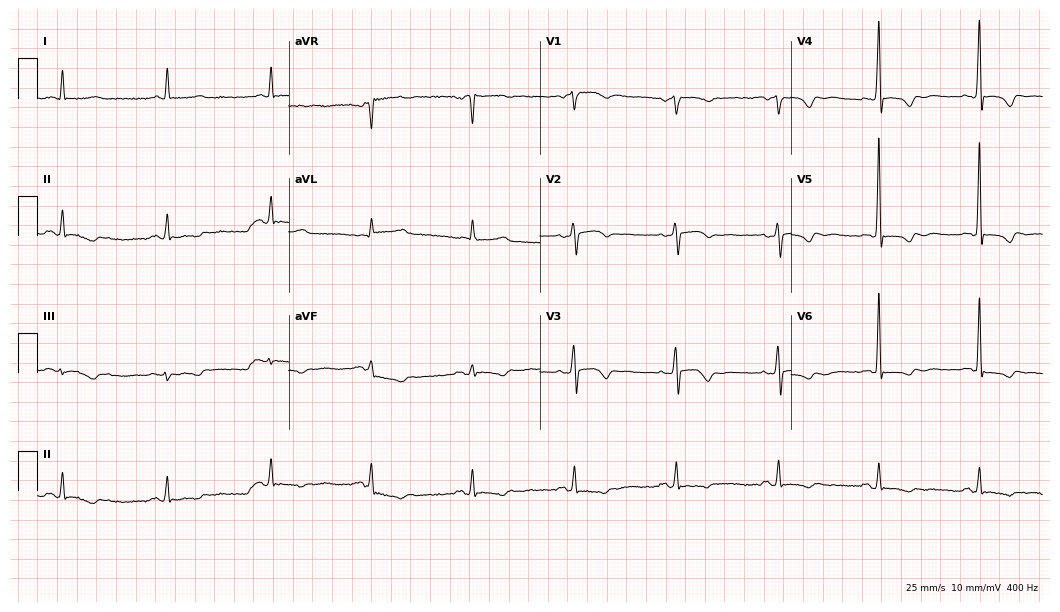
Electrocardiogram (10.2-second recording at 400 Hz), a 67-year-old woman. Of the six screened findings (first-degree AV block, right bundle branch block, left bundle branch block, sinus bradycardia, atrial fibrillation, sinus tachycardia), none is recorded.